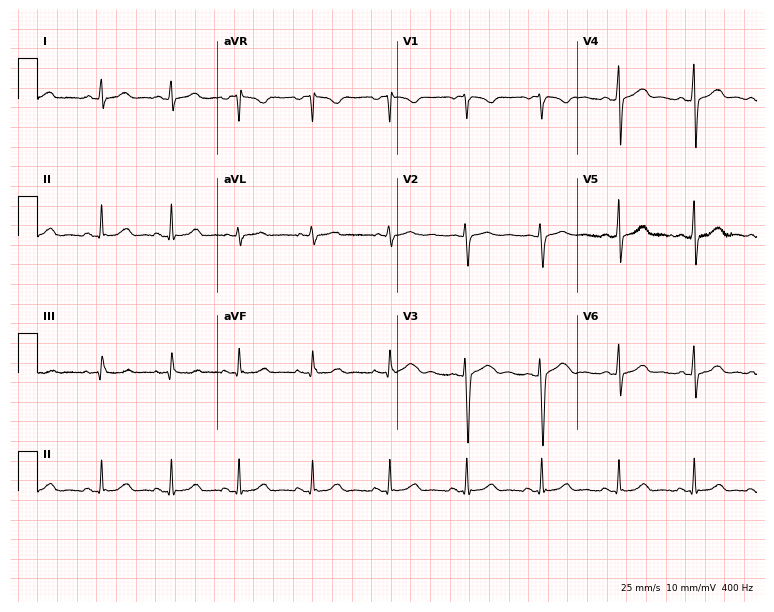
12-lead ECG (7.3-second recording at 400 Hz) from a 19-year-old female patient. Screened for six findings — first-degree AV block, right bundle branch block, left bundle branch block, sinus bradycardia, atrial fibrillation, sinus tachycardia — none is recorded.